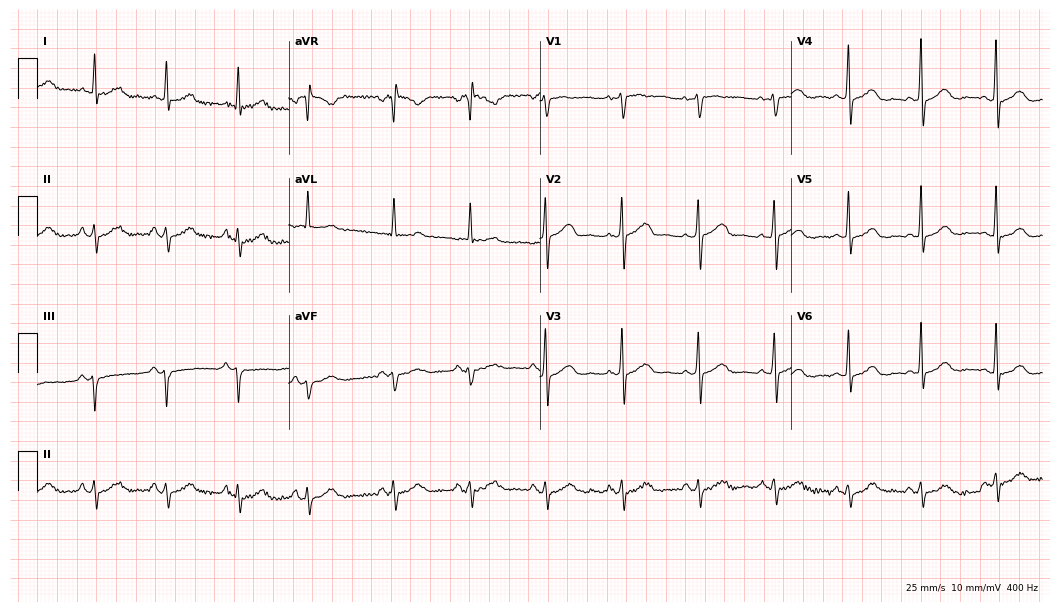
Electrocardiogram, a 75-year-old woman. Of the six screened findings (first-degree AV block, right bundle branch block, left bundle branch block, sinus bradycardia, atrial fibrillation, sinus tachycardia), none is recorded. Other findings, if any, are not listed.